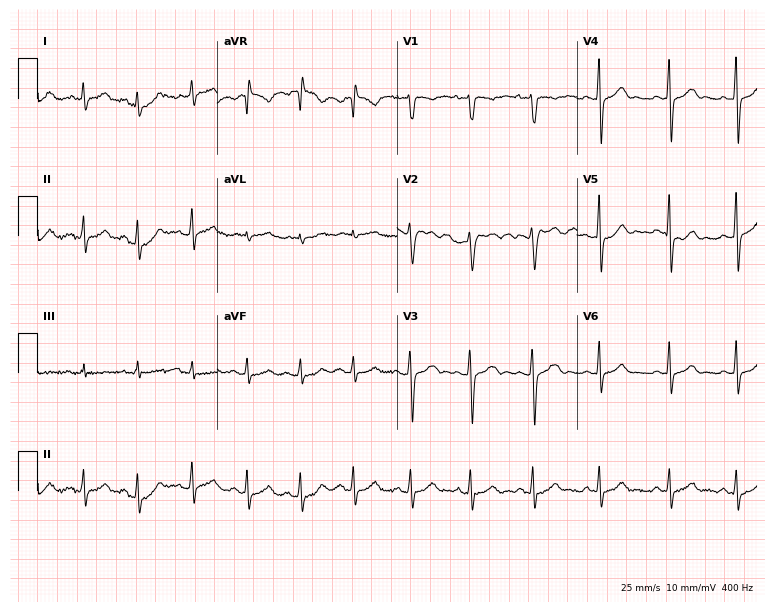
Standard 12-lead ECG recorded from a 27-year-old female patient (7.3-second recording at 400 Hz). None of these six findings is recorded: first-degree AV block, right bundle branch block, left bundle branch block, sinus bradycardia, atrial fibrillation, sinus tachycardia. Other findings, if any, are not listed.